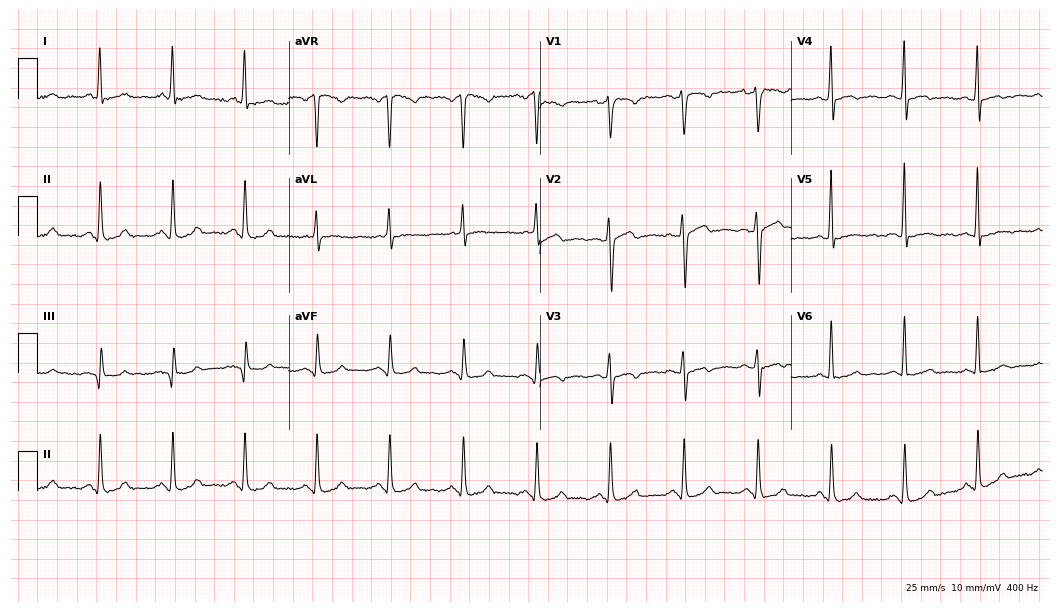
12-lead ECG from a 49-year-old male. No first-degree AV block, right bundle branch block, left bundle branch block, sinus bradycardia, atrial fibrillation or sinus tachycardia recorded for this tracing. Findings outside these six are not listed.